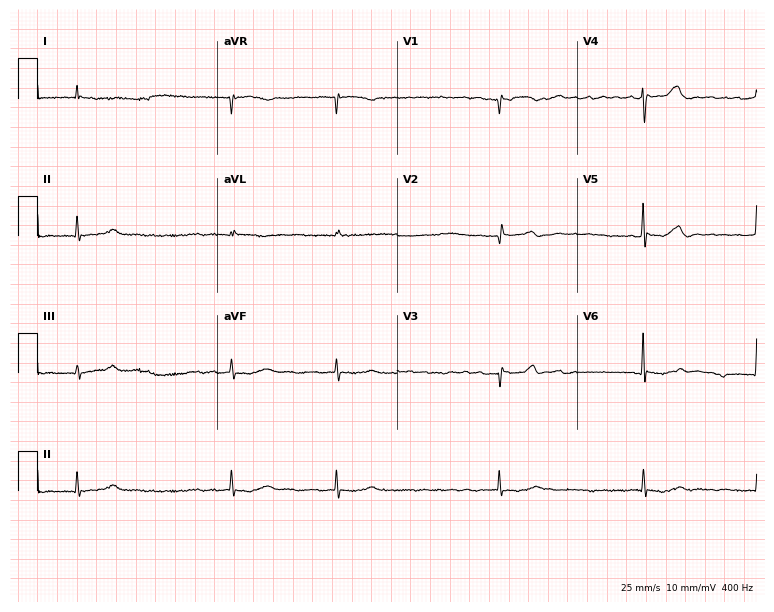
Electrocardiogram, a 66-year-old woman. Of the six screened findings (first-degree AV block, right bundle branch block, left bundle branch block, sinus bradycardia, atrial fibrillation, sinus tachycardia), none is recorded. Findings outside these six are not listed.